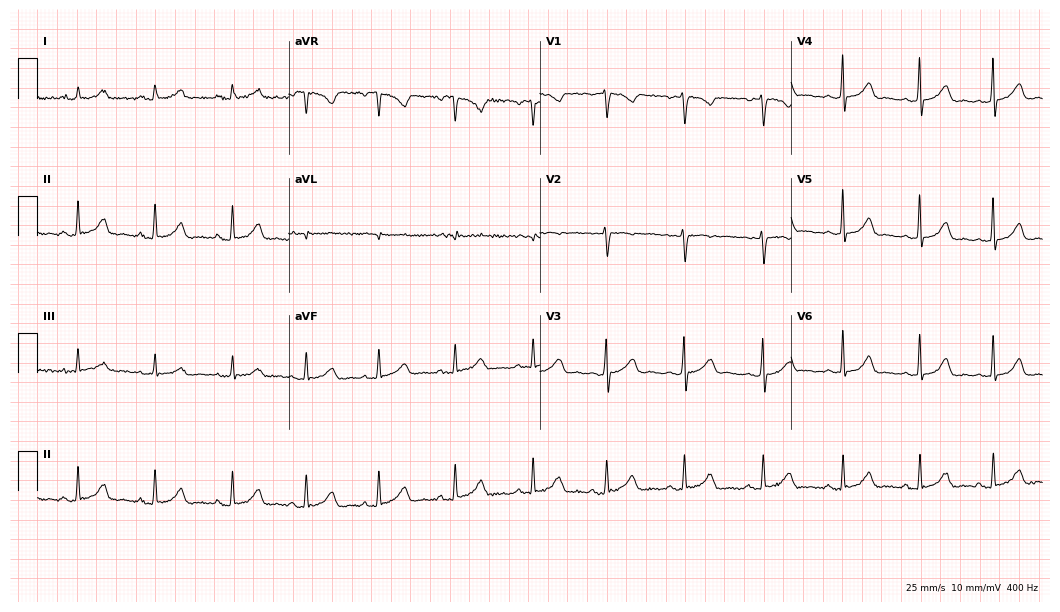
Standard 12-lead ECG recorded from a 19-year-old female patient. Read as a normal ECG.